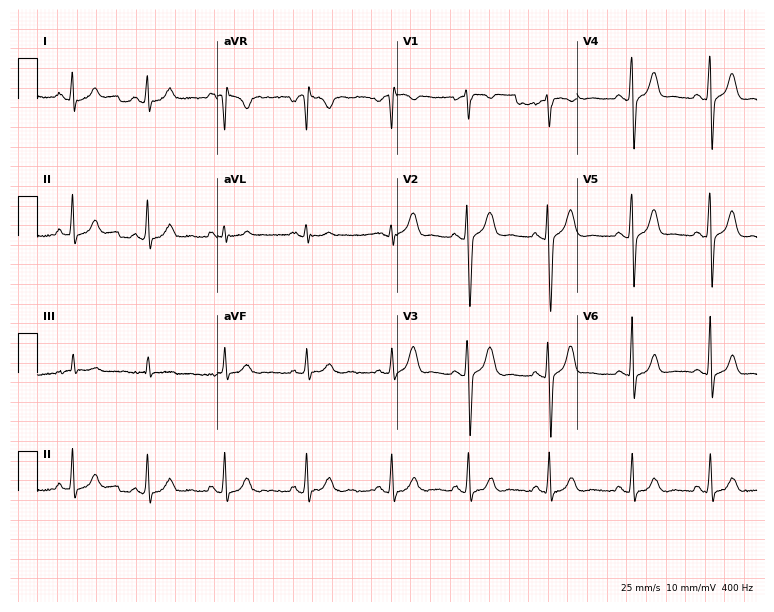
Electrocardiogram, a 27-year-old female patient. Of the six screened findings (first-degree AV block, right bundle branch block (RBBB), left bundle branch block (LBBB), sinus bradycardia, atrial fibrillation (AF), sinus tachycardia), none is recorded. Other findings, if any, are not listed.